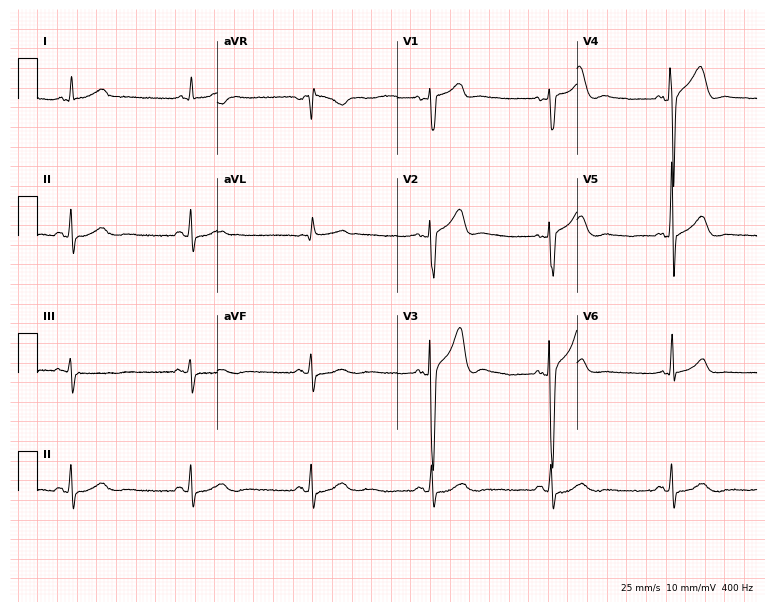
12-lead ECG from a male, 66 years old. Findings include sinus bradycardia (a sinus rate of 50 beats per minute or less).